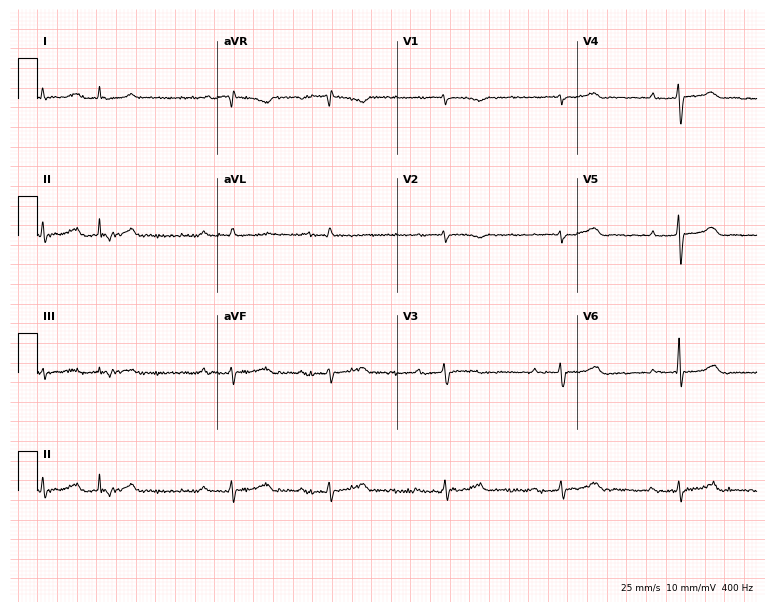
Standard 12-lead ECG recorded from an 81-year-old man. None of these six findings is recorded: first-degree AV block, right bundle branch block, left bundle branch block, sinus bradycardia, atrial fibrillation, sinus tachycardia. Other findings, if any, are not listed.